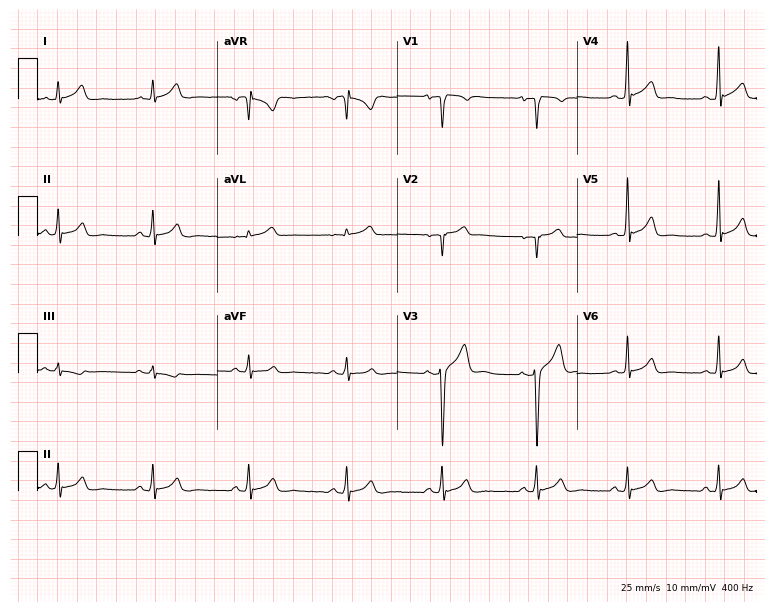
ECG (7.3-second recording at 400 Hz) — a male patient, 24 years old. Screened for six findings — first-degree AV block, right bundle branch block, left bundle branch block, sinus bradycardia, atrial fibrillation, sinus tachycardia — none is recorded.